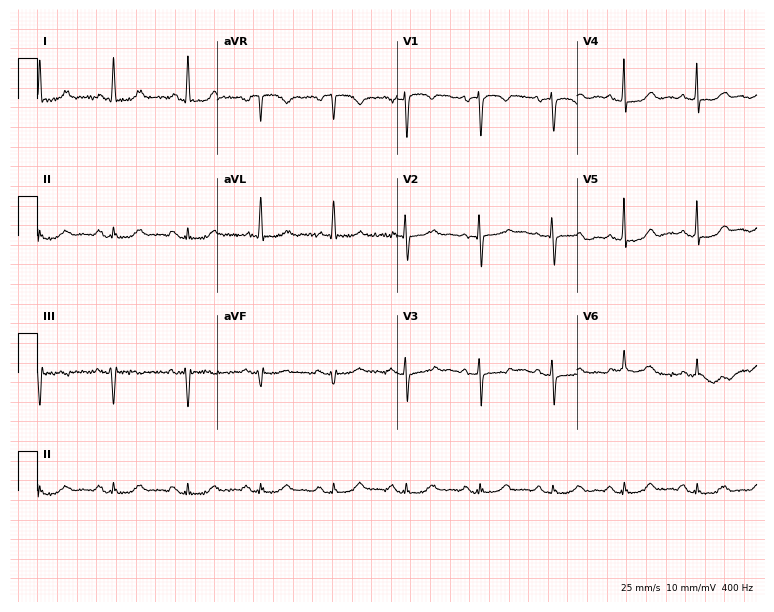
Standard 12-lead ECG recorded from an 85-year-old woman (7.3-second recording at 400 Hz). Read as a normal ECG.